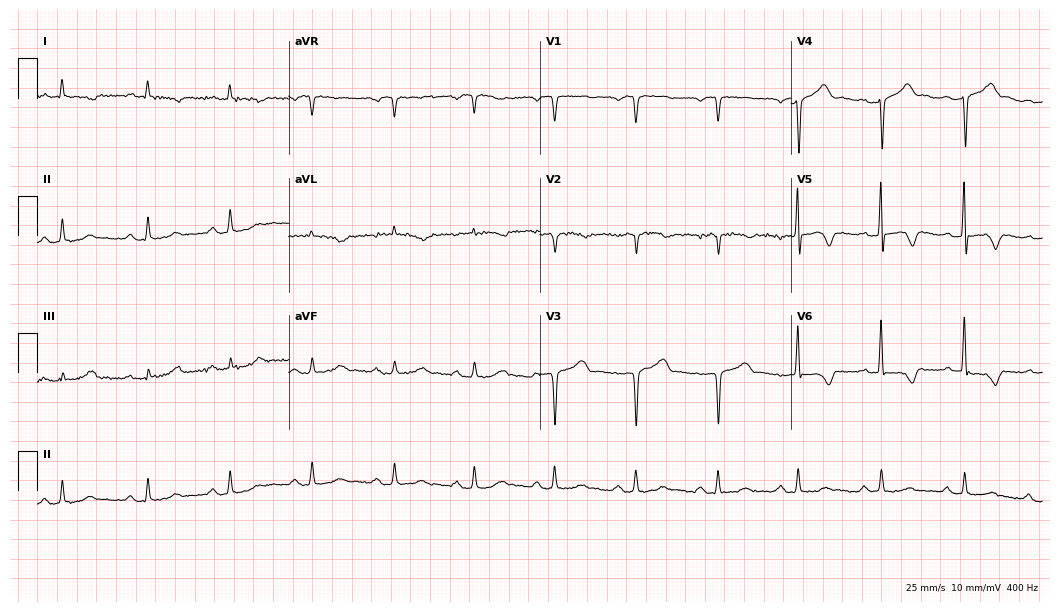
Standard 12-lead ECG recorded from a man, 65 years old. None of these six findings is recorded: first-degree AV block, right bundle branch block, left bundle branch block, sinus bradycardia, atrial fibrillation, sinus tachycardia.